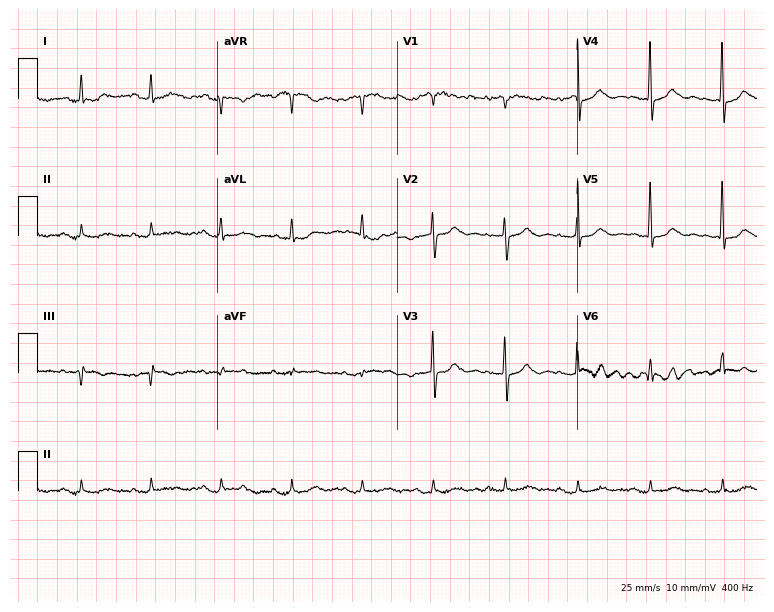
ECG — a female, 85 years old. Screened for six findings — first-degree AV block, right bundle branch block, left bundle branch block, sinus bradycardia, atrial fibrillation, sinus tachycardia — none is recorded. Other findings, if any, are not listed.